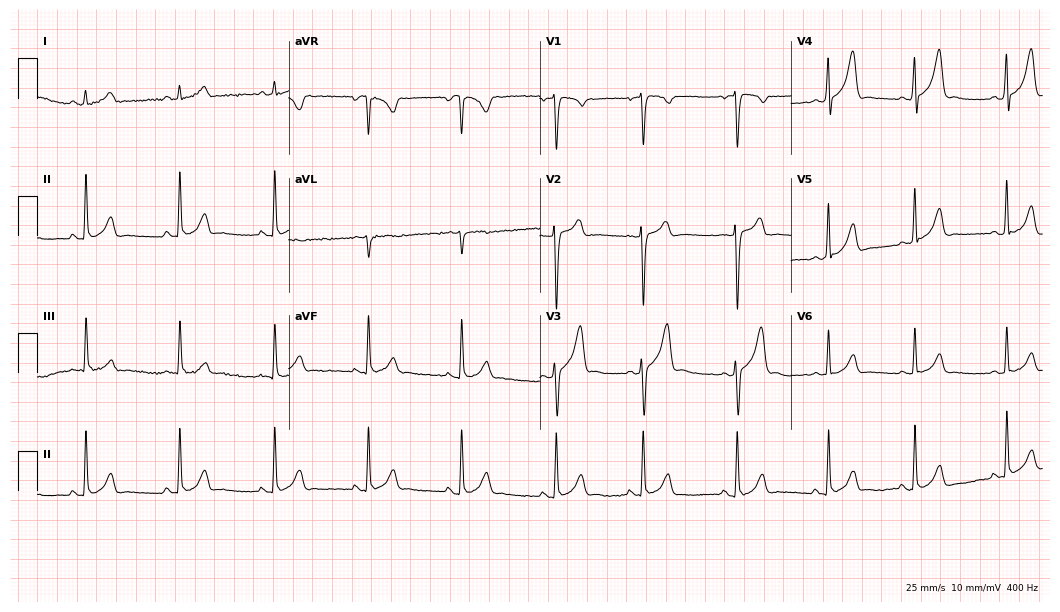
12-lead ECG (10.2-second recording at 400 Hz) from a man, 21 years old. Labelled as a normal ECG.